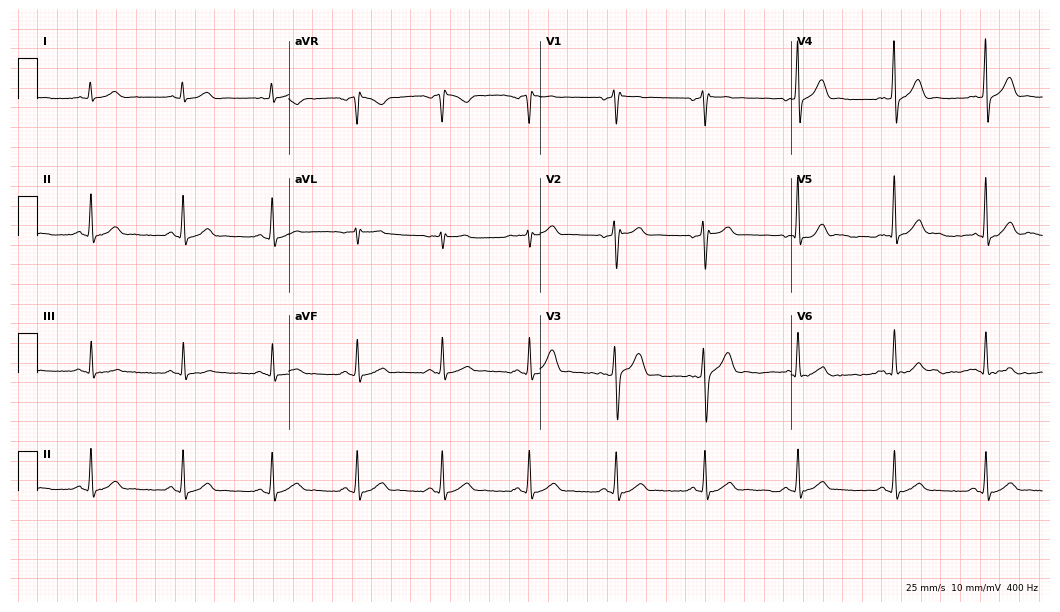
12-lead ECG from a 33-year-old male (10.2-second recording at 400 Hz). Recorded interpretation: within normal limits.